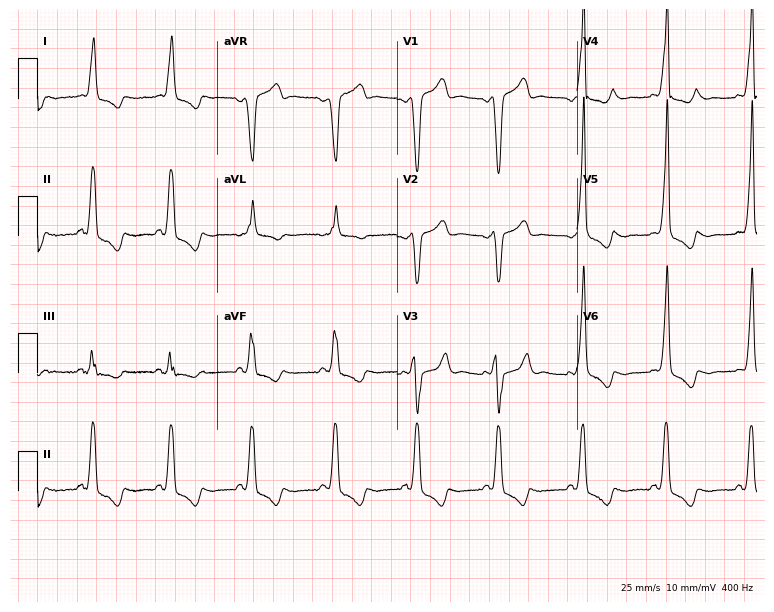
Standard 12-lead ECG recorded from a 63-year-old woman (7.3-second recording at 400 Hz). None of these six findings is recorded: first-degree AV block, right bundle branch block (RBBB), left bundle branch block (LBBB), sinus bradycardia, atrial fibrillation (AF), sinus tachycardia. Only these six findings were labelled.